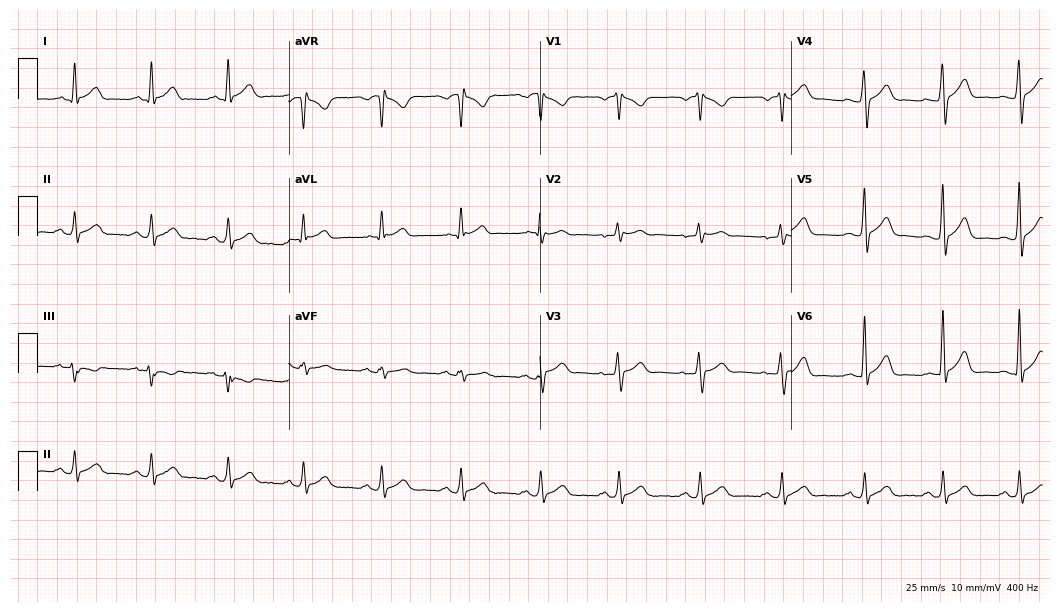
12-lead ECG from a 40-year-old male (10.2-second recording at 400 Hz). Recorded interpretation: within normal limits.